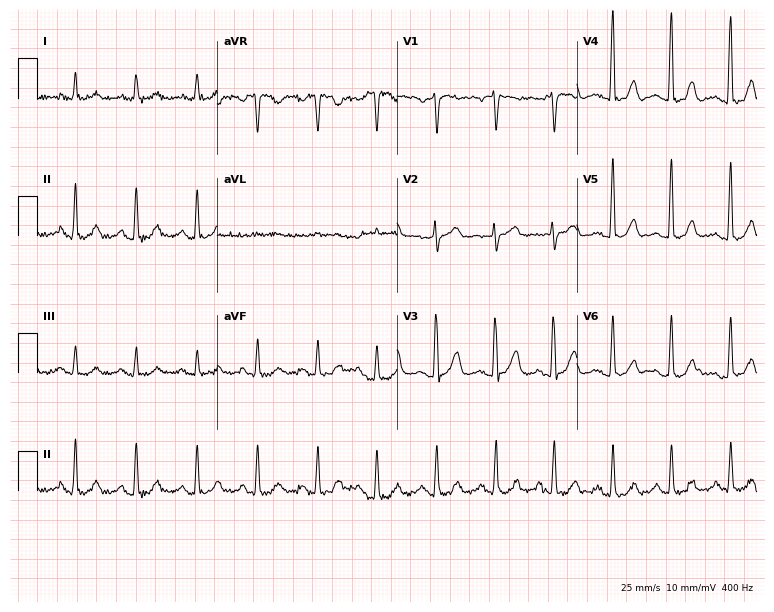
12-lead ECG (7.3-second recording at 400 Hz) from a 59-year-old female patient. Screened for six findings — first-degree AV block, right bundle branch block (RBBB), left bundle branch block (LBBB), sinus bradycardia, atrial fibrillation (AF), sinus tachycardia — none is recorded.